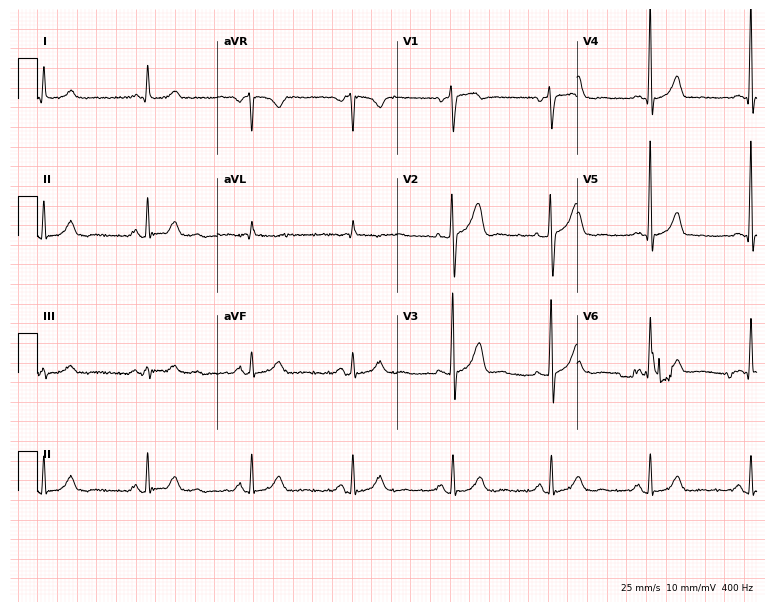
Standard 12-lead ECG recorded from a male patient, 56 years old. None of these six findings is recorded: first-degree AV block, right bundle branch block, left bundle branch block, sinus bradycardia, atrial fibrillation, sinus tachycardia.